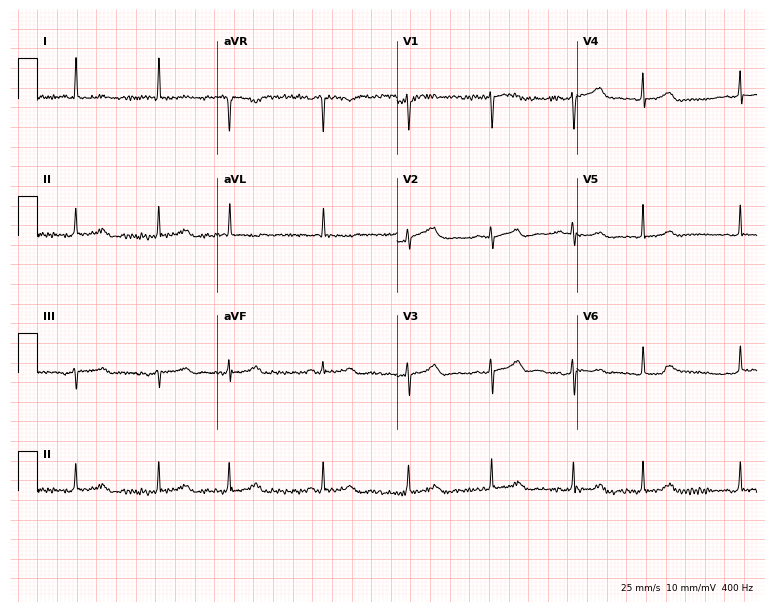
Electrocardiogram (7.3-second recording at 400 Hz), a woman, 77 years old. Of the six screened findings (first-degree AV block, right bundle branch block, left bundle branch block, sinus bradycardia, atrial fibrillation, sinus tachycardia), none is recorded.